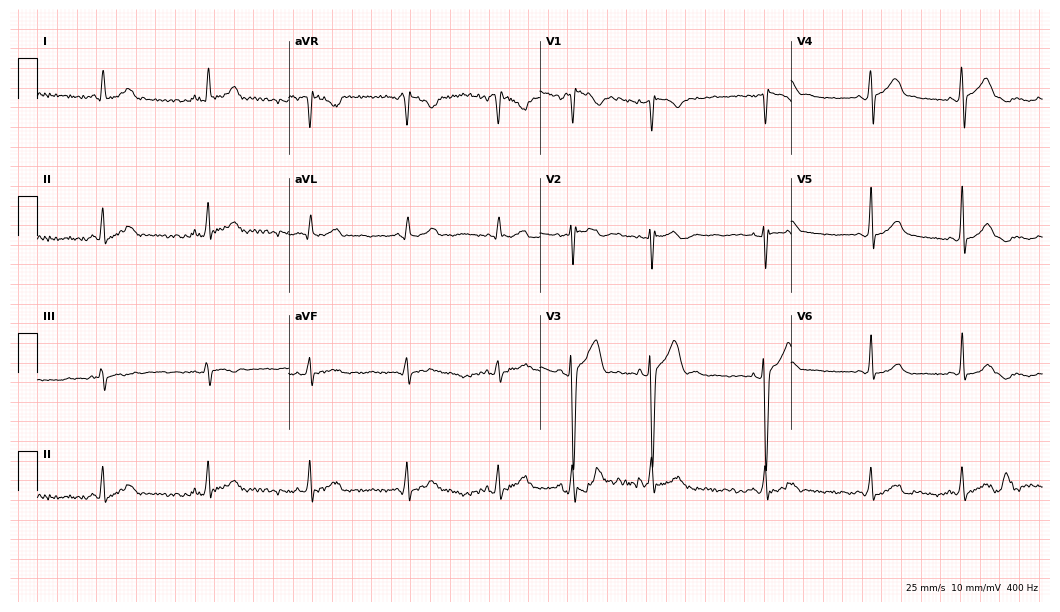
Electrocardiogram (10.2-second recording at 400 Hz), a 21-year-old male patient. Overall reading on record: normal ECG.